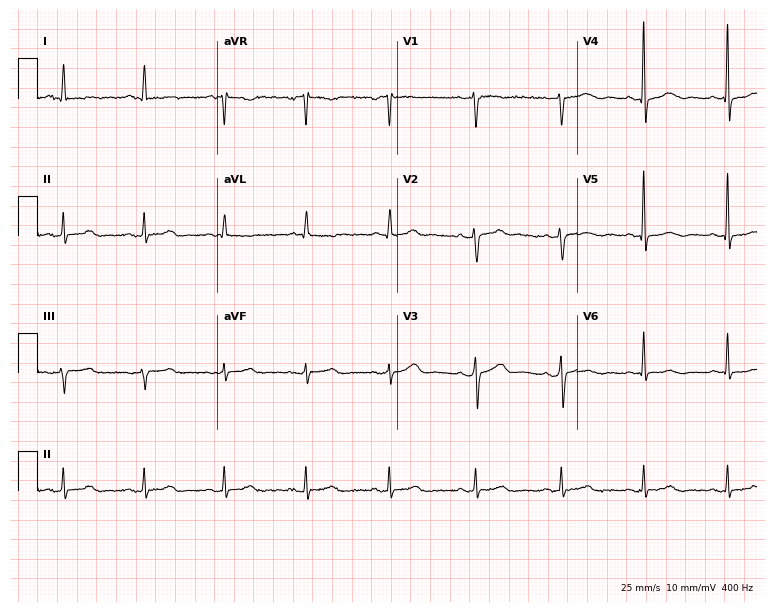
Standard 12-lead ECG recorded from a 53-year-old female. Read as a normal ECG.